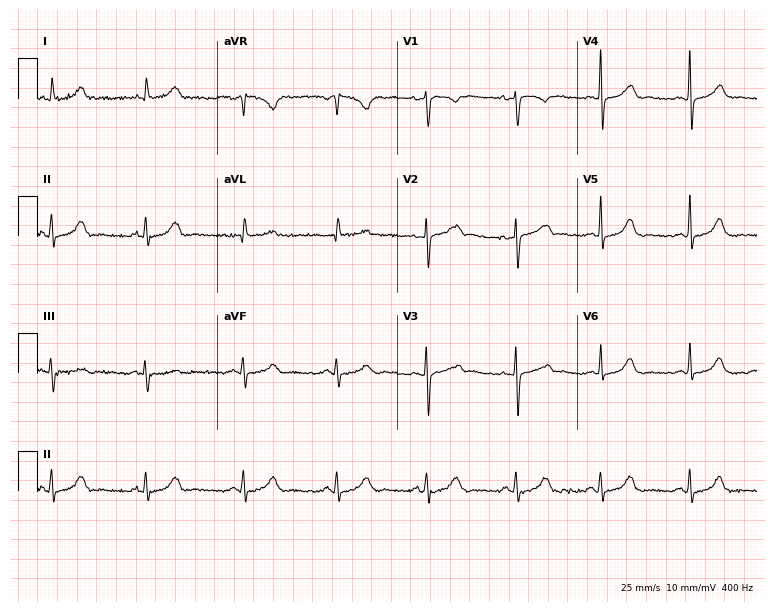
ECG — a female patient, 44 years old. Labelled as a normal ECG.